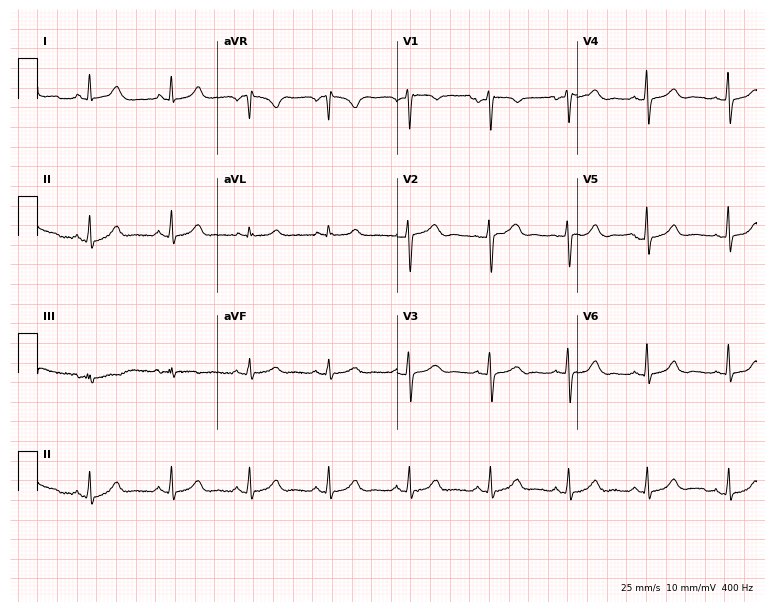
ECG — a 39-year-old female patient. Labelled as a normal ECG.